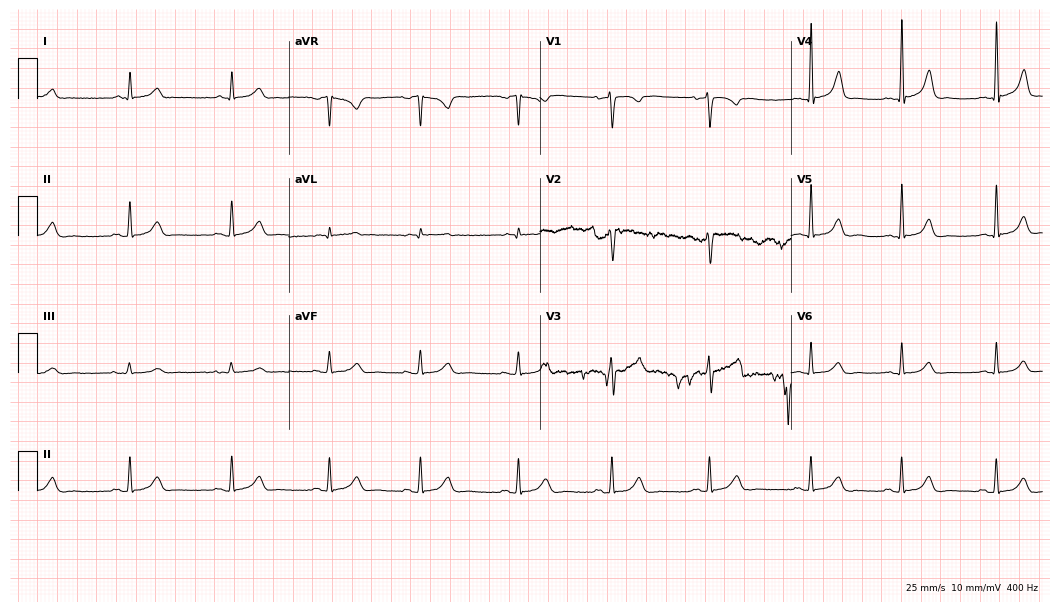
ECG (10.2-second recording at 400 Hz) — a 34-year-old female. Labelled as a normal ECG.